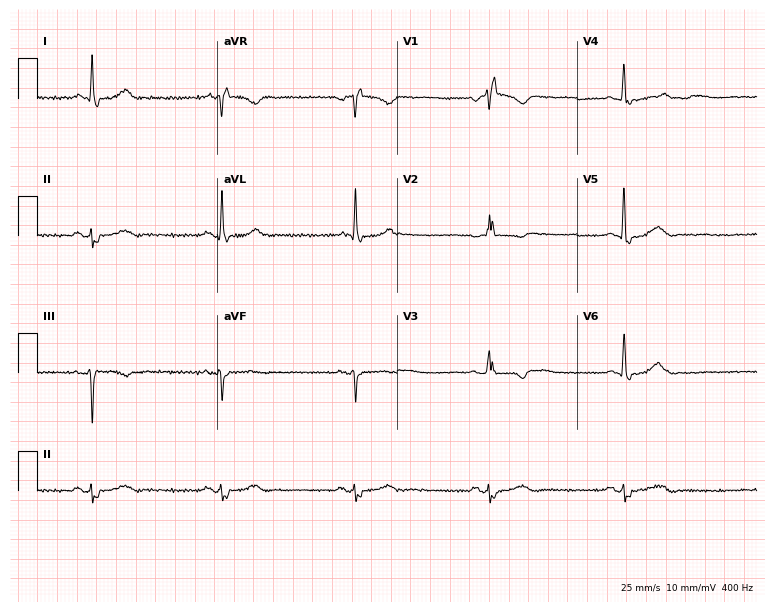
Resting 12-lead electrocardiogram. Patient: a male, 72 years old. The tracing shows right bundle branch block (RBBB), sinus bradycardia (a sinus rate of 50 beats per minute or less).